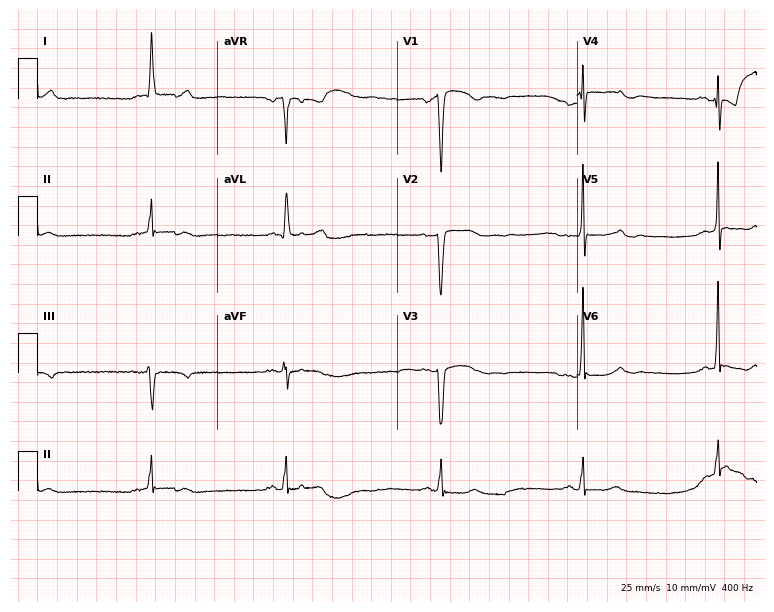
Resting 12-lead electrocardiogram. Patient: a female, 70 years old. The tracing shows sinus bradycardia (a sinus rate of 50 beats per minute or less).